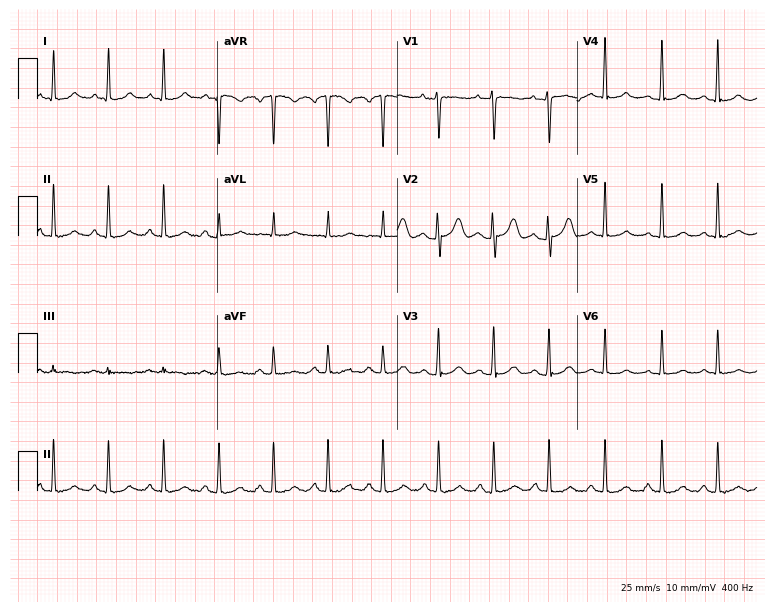
12-lead ECG from a 23-year-old female patient (7.3-second recording at 400 Hz). Shows sinus tachycardia (a sinus rate of 100 beats per minute or more).